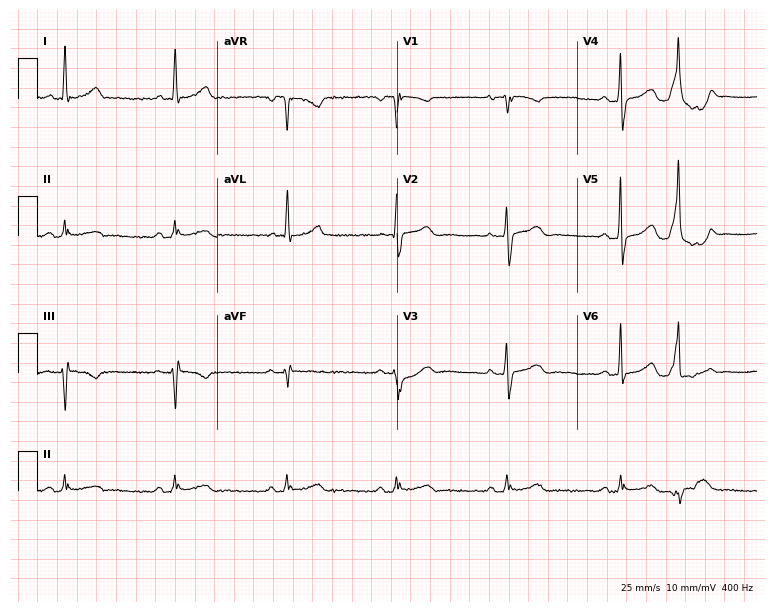
Resting 12-lead electrocardiogram. Patient: a man, 73 years old. None of these six findings is recorded: first-degree AV block, right bundle branch block, left bundle branch block, sinus bradycardia, atrial fibrillation, sinus tachycardia.